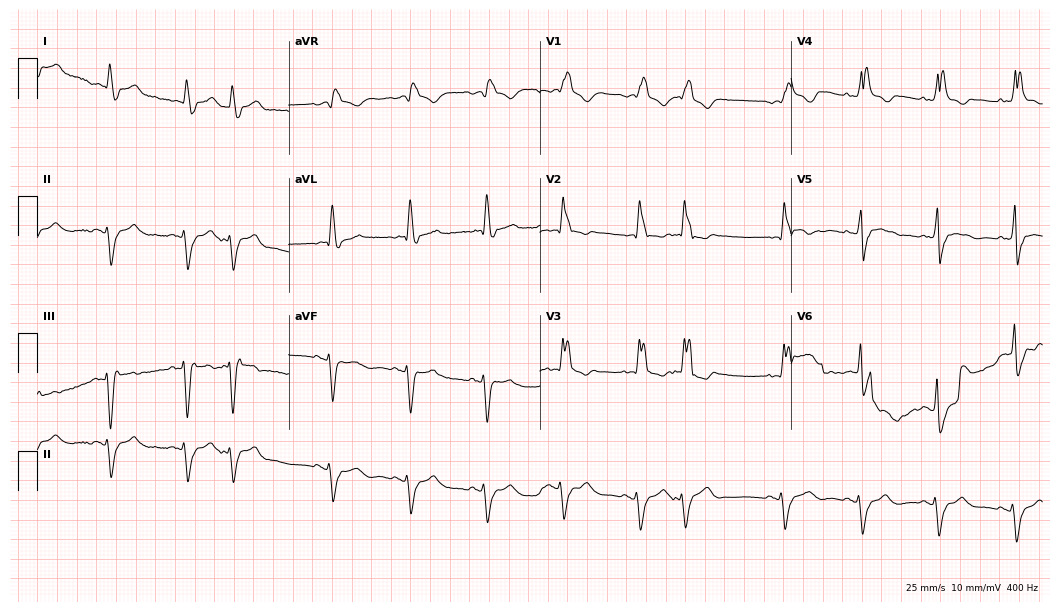
12-lead ECG from a 61-year-old male (10.2-second recording at 400 Hz). Shows right bundle branch block (RBBB).